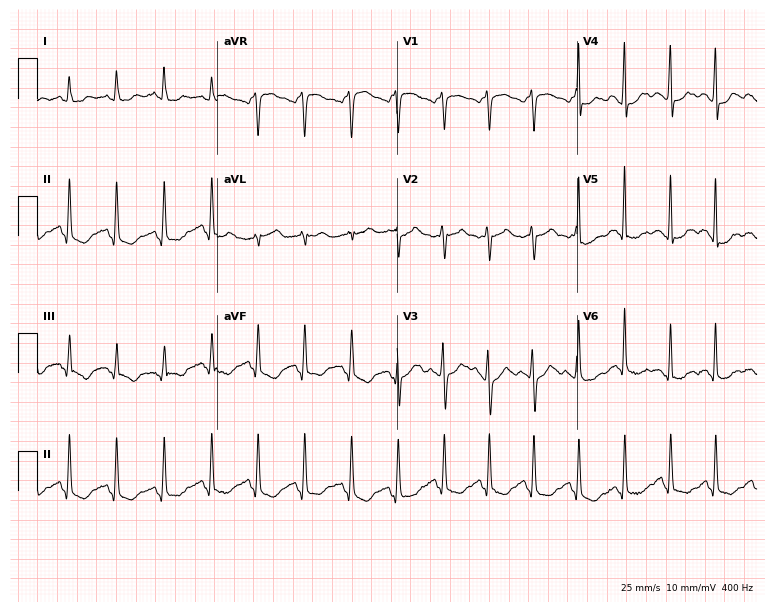
ECG — a woman, 36 years old. Findings include sinus tachycardia (a sinus rate of 100 beats per minute or more).